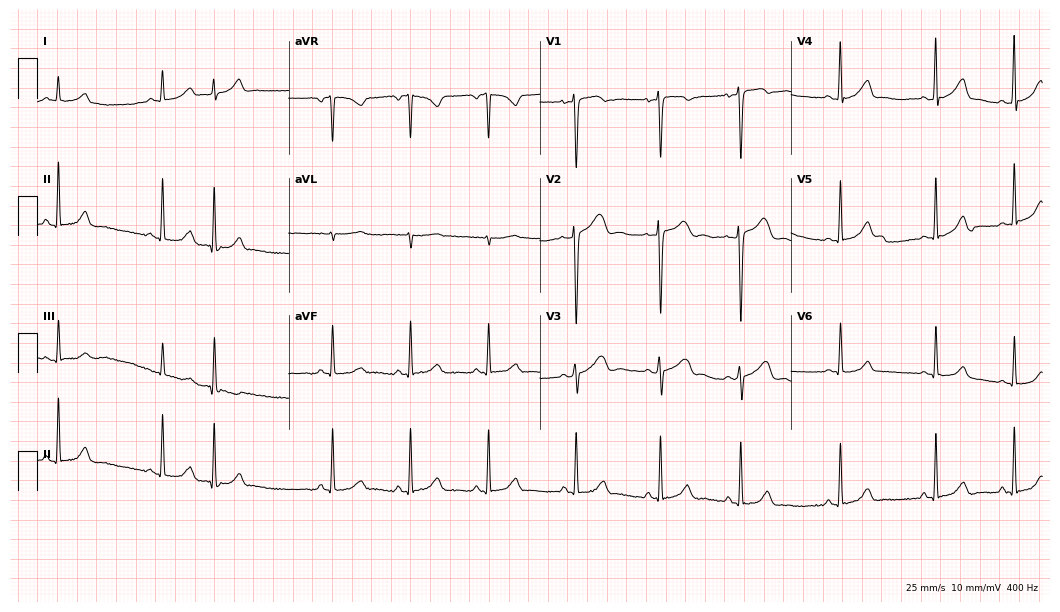
12-lead ECG from a man, 34 years old. No first-degree AV block, right bundle branch block, left bundle branch block, sinus bradycardia, atrial fibrillation or sinus tachycardia recorded for this tracing.